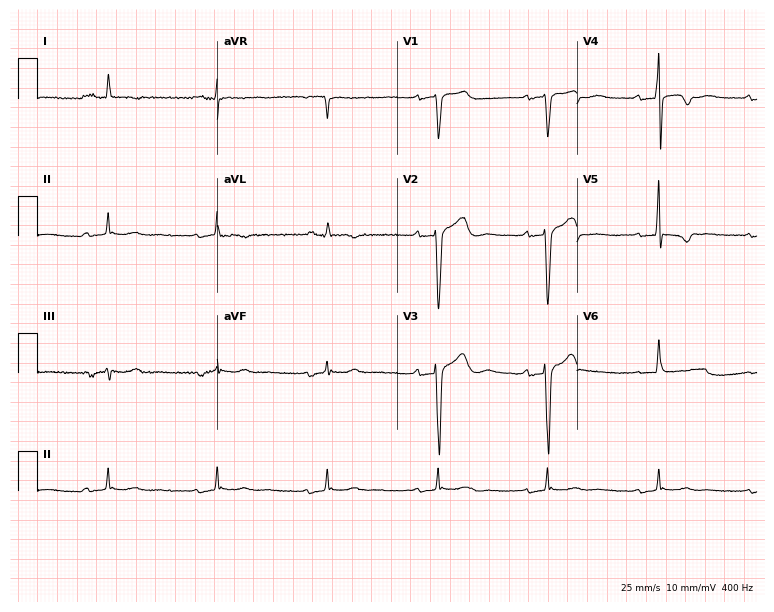
12-lead ECG from a 76-year-old male patient. No first-degree AV block, right bundle branch block, left bundle branch block, sinus bradycardia, atrial fibrillation or sinus tachycardia recorded for this tracing.